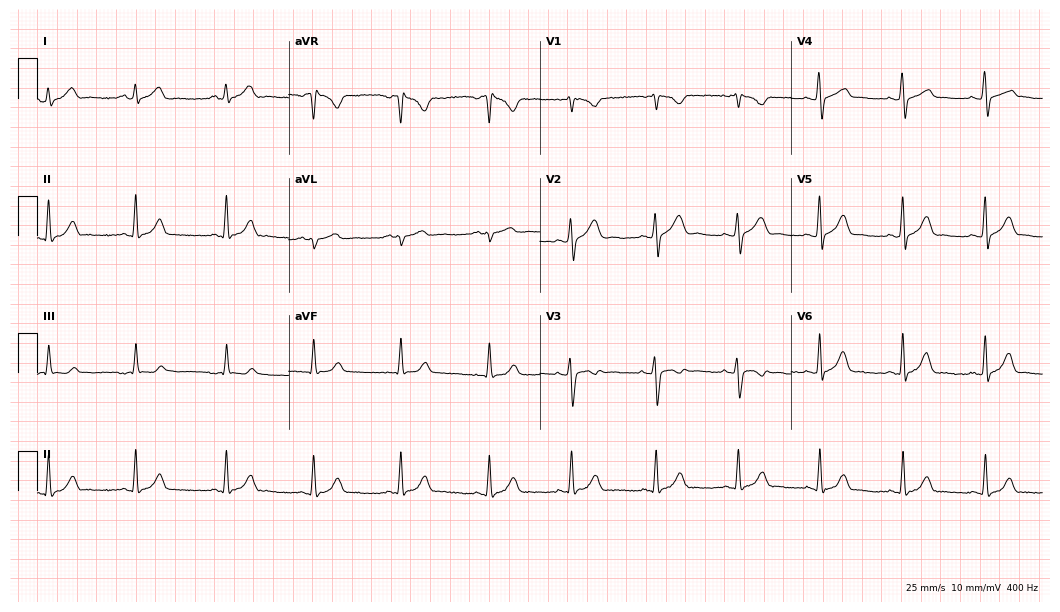
Electrocardiogram, a female patient, 27 years old. Overall reading on record: normal ECG.